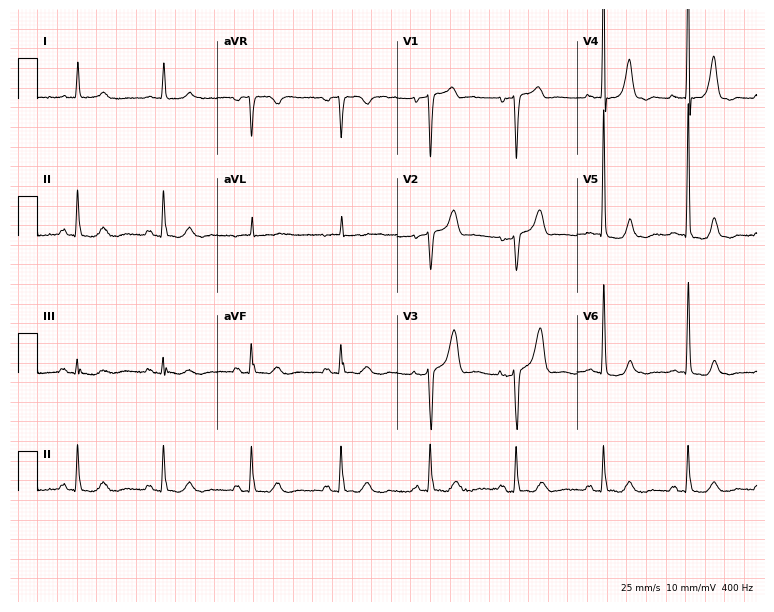
12-lead ECG from an 82-year-old female. Screened for six findings — first-degree AV block, right bundle branch block, left bundle branch block, sinus bradycardia, atrial fibrillation, sinus tachycardia — none is recorded.